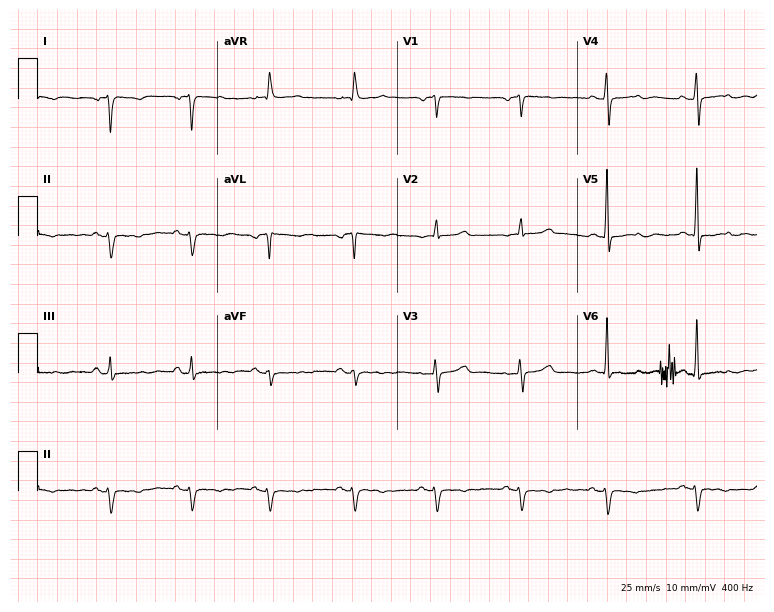
Electrocardiogram, a 78-year-old female. Of the six screened findings (first-degree AV block, right bundle branch block, left bundle branch block, sinus bradycardia, atrial fibrillation, sinus tachycardia), none is recorded.